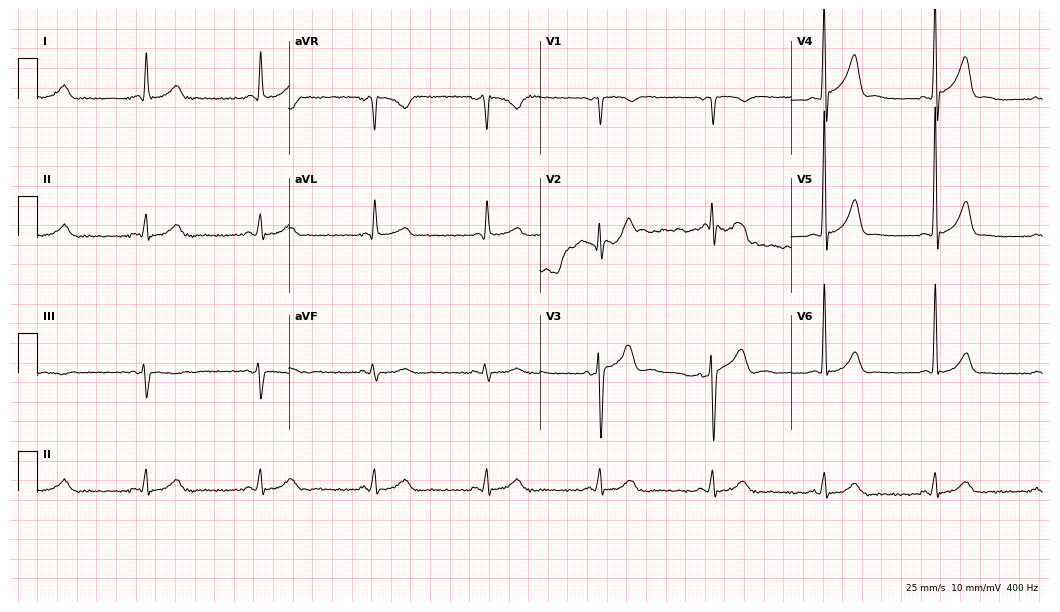
ECG (10.2-second recording at 400 Hz) — a 45-year-old male patient. Screened for six findings — first-degree AV block, right bundle branch block, left bundle branch block, sinus bradycardia, atrial fibrillation, sinus tachycardia — none is recorded. Findings outside these six are not listed.